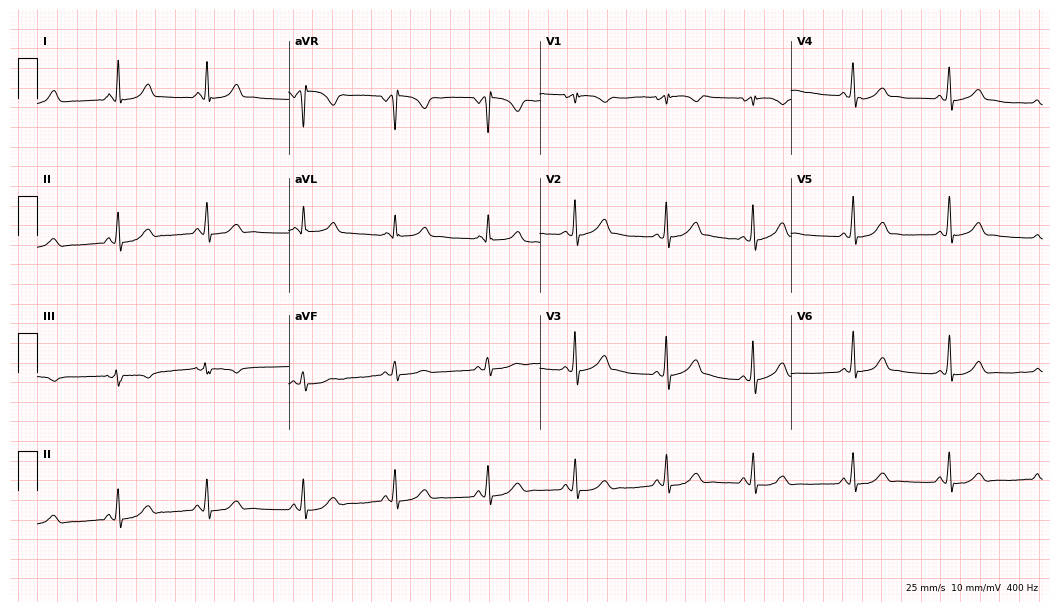
Resting 12-lead electrocardiogram. Patient: a 20-year-old female. Read as a normal ECG.